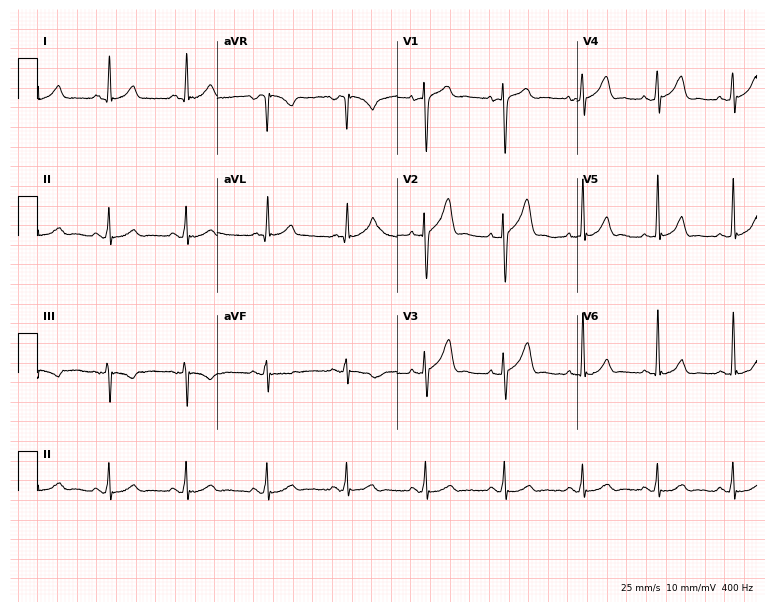
ECG (7.3-second recording at 400 Hz) — a 36-year-old male. Labelled as a normal ECG.